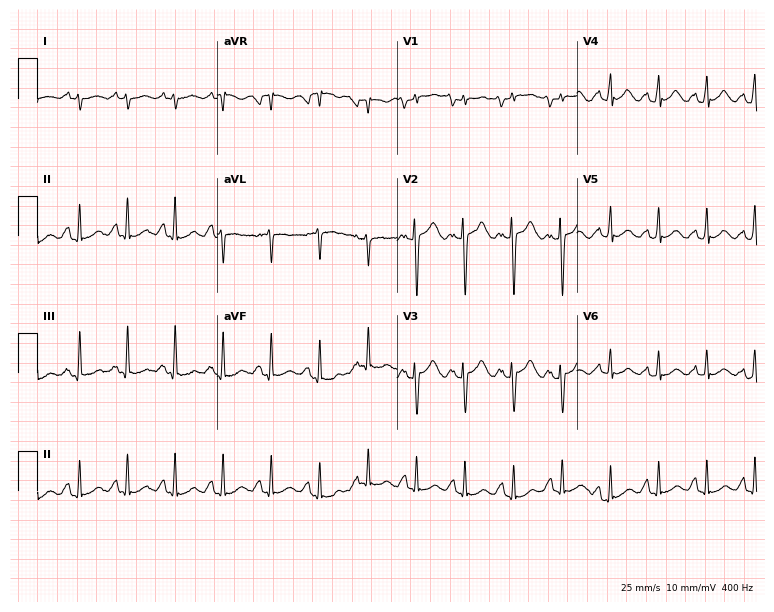
12-lead ECG from a 25-year-old woman. Shows sinus tachycardia (a sinus rate of 100 beats per minute or more).